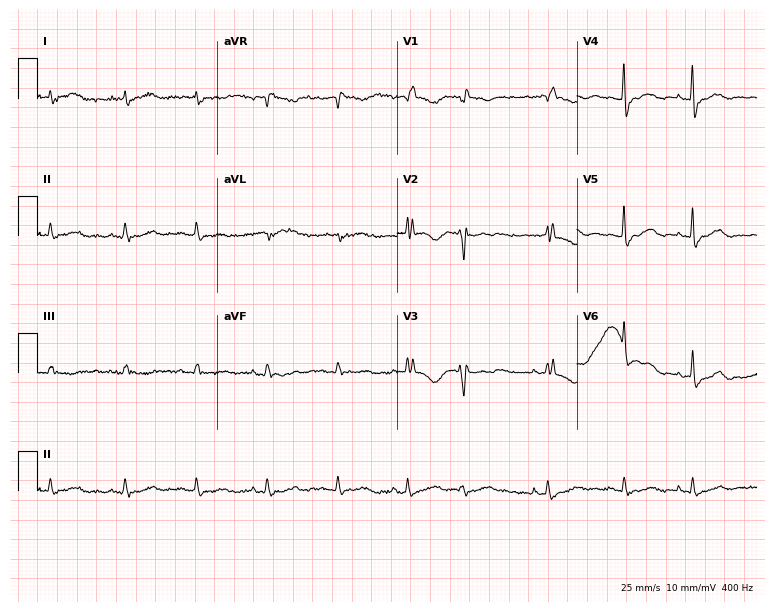
ECG (7.3-second recording at 400 Hz) — a female, 75 years old. Screened for six findings — first-degree AV block, right bundle branch block (RBBB), left bundle branch block (LBBB), sinus bradycardia, atrial fibrillation (AF), sinus tachycardia — none is recorded.